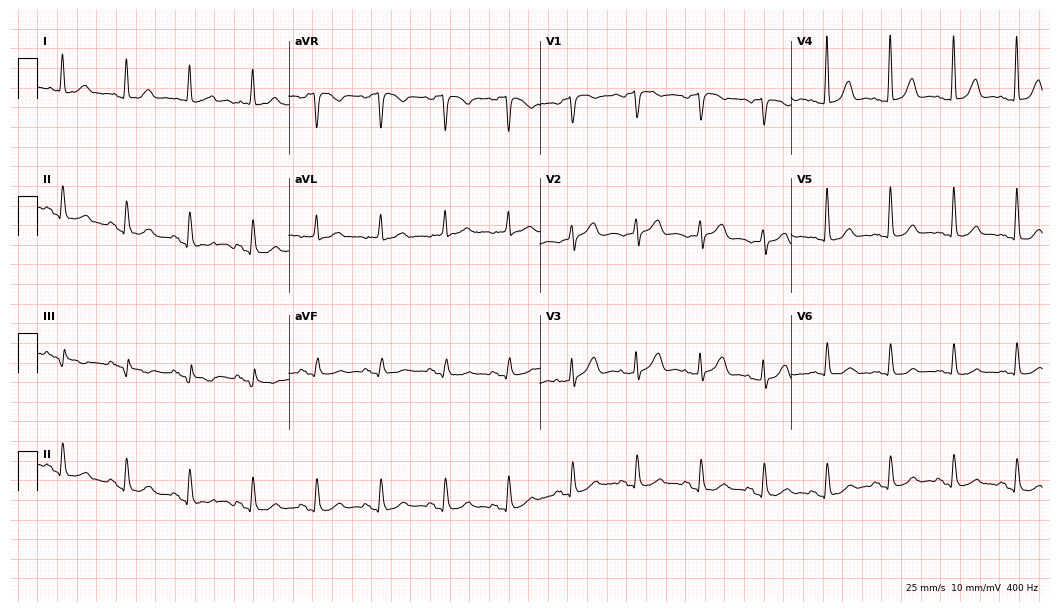
Resting 12-lead electrocardiogram. Patient: an 84-year-old female. Read as a normal ECG.